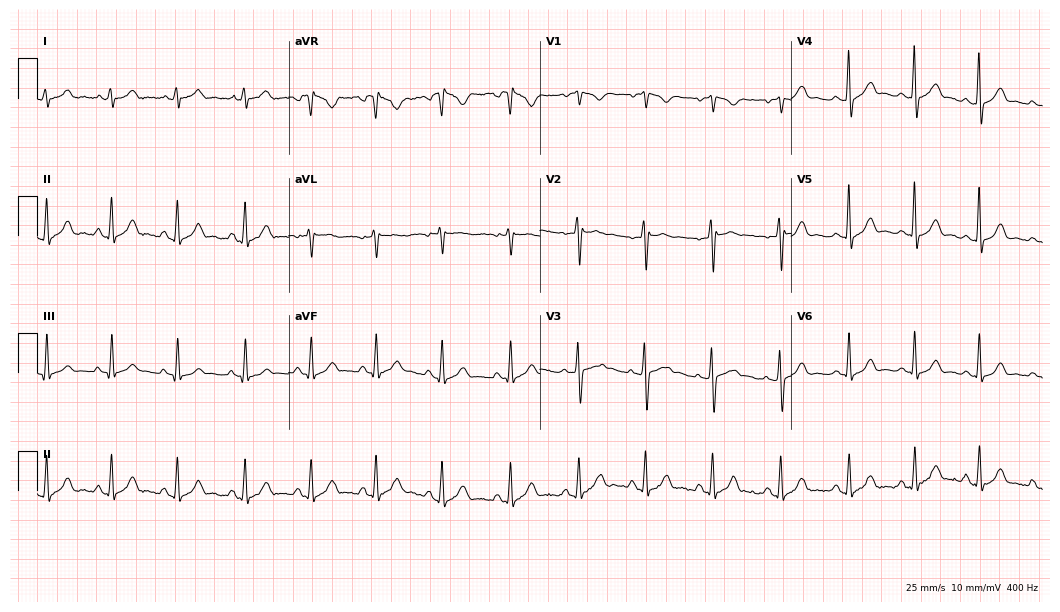
Electrocardiogram (10.2-second recording at 400 Hz), a 34-year-old woman. Overall reading on record: normal ECG.